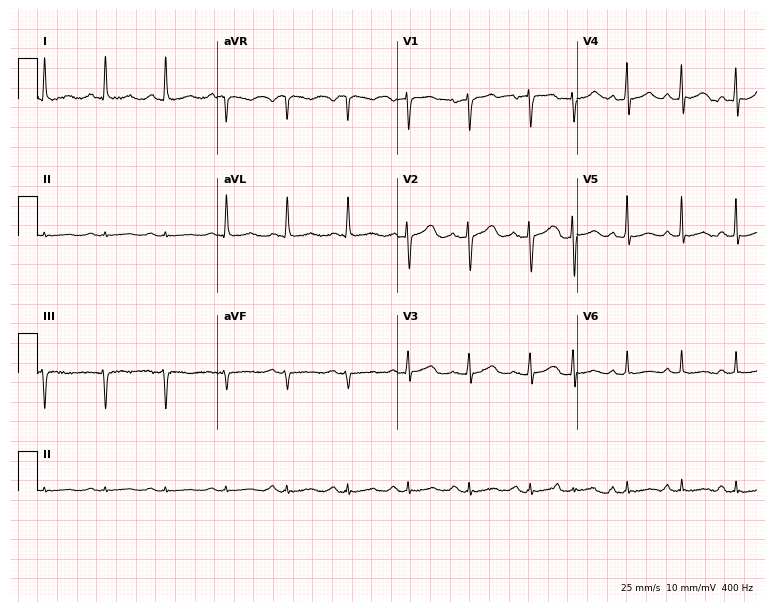
Resting 12-lead electrocardiogram (7.3-second recording at 400 Hz). Patient: a 76-year-old woman. Read as a normal ECG.